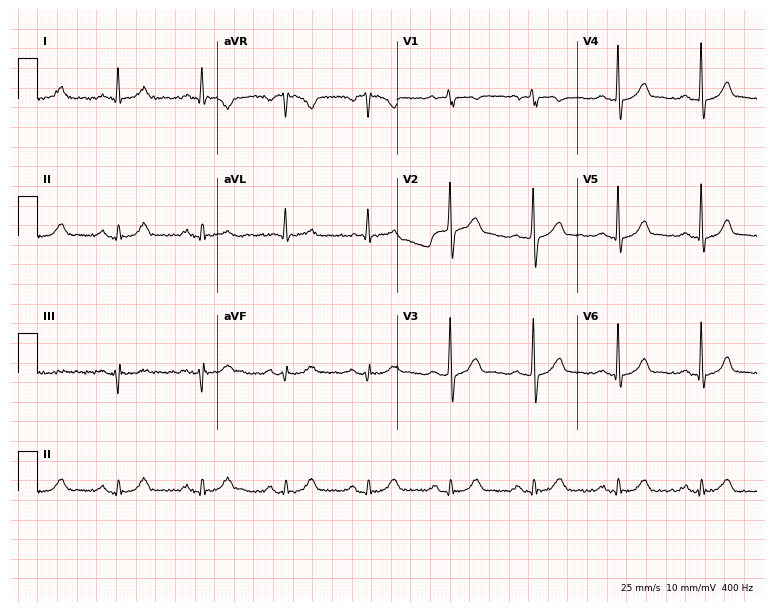
Electrocardiogram, a male, 45 years old. Overall reading on record: normal ECG.